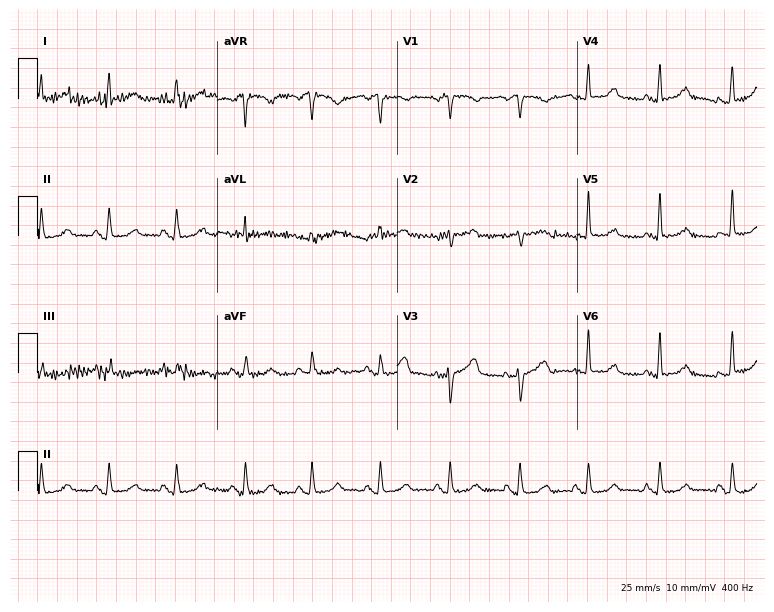
12-lead ECG (7.3-second recording at 400 Hz) from a 63-year-old female. Labelled as a normal ECG.